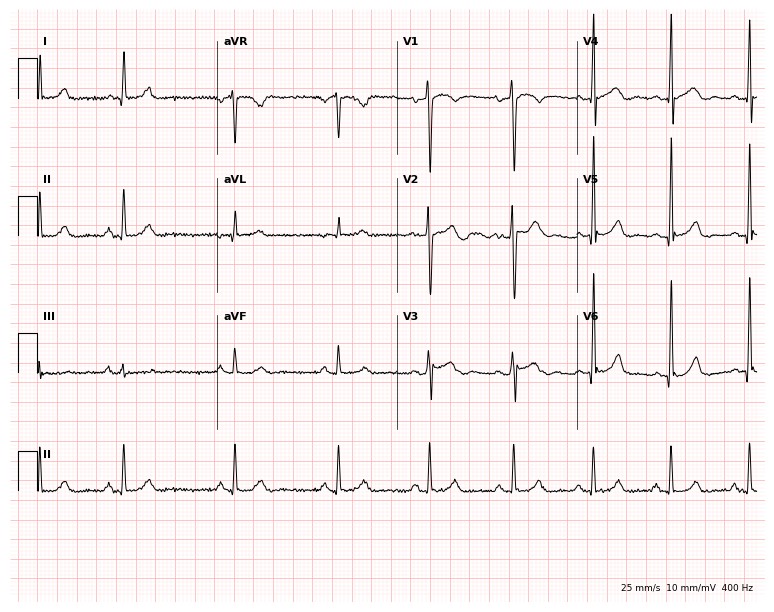
12-lead ECG from a 41-year-old male (7.3-second recording at 400 Hz). No first-degree AV block, right bundle branch block, left bundle branch block, sinus bradycardia, atrial fibrillation or sinus tachycardia recorded for this tracing.